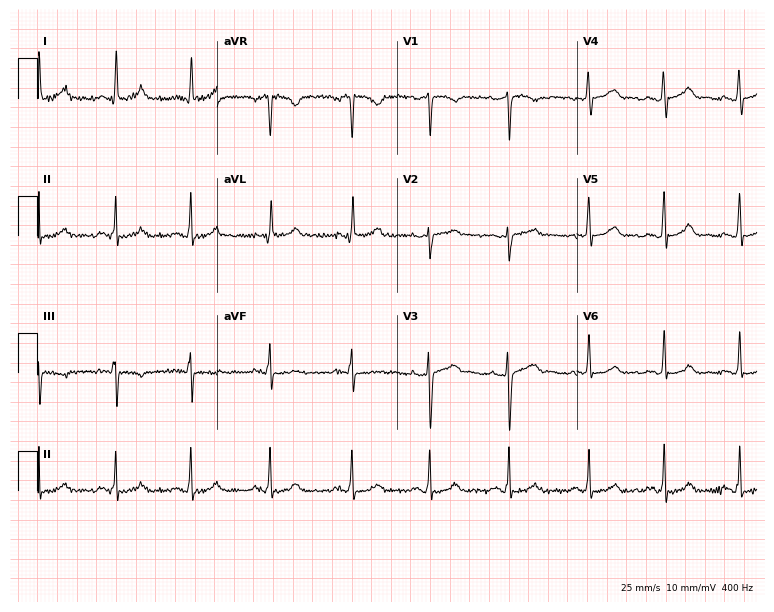
Standard 12-lead ECG recorded from a 33-year-old female patient (7.3-second recording at 400 Hz). None of these six findings is recorded: first-degree AV block, right bundle branch block, left bundle branch block, sinus bradycardia, atrial fibrillation, sinus tachycardia. Only these six findings were labelled.